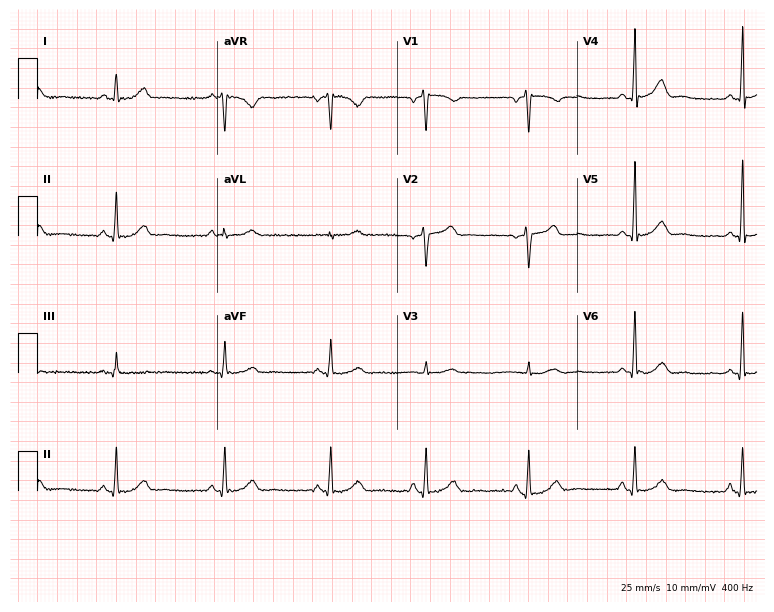
Electrocardiogram (7.3-second recording at 400 Hz), a woman, 42 years old. Overall reading on record: normal ECG.